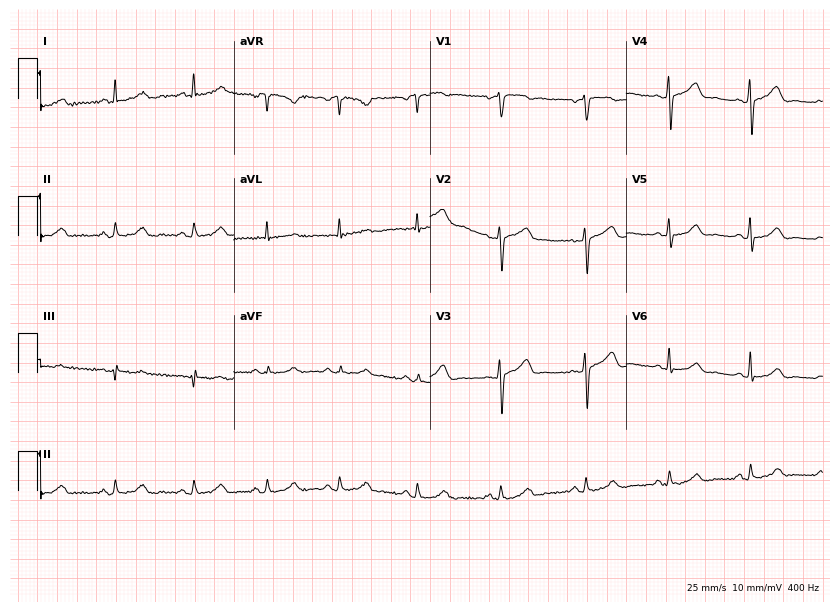
Resting 12-lead electrocardiogram (8-second recording at 400 Hz). Patient: a female, 63 years old. Read as a normal ECG.